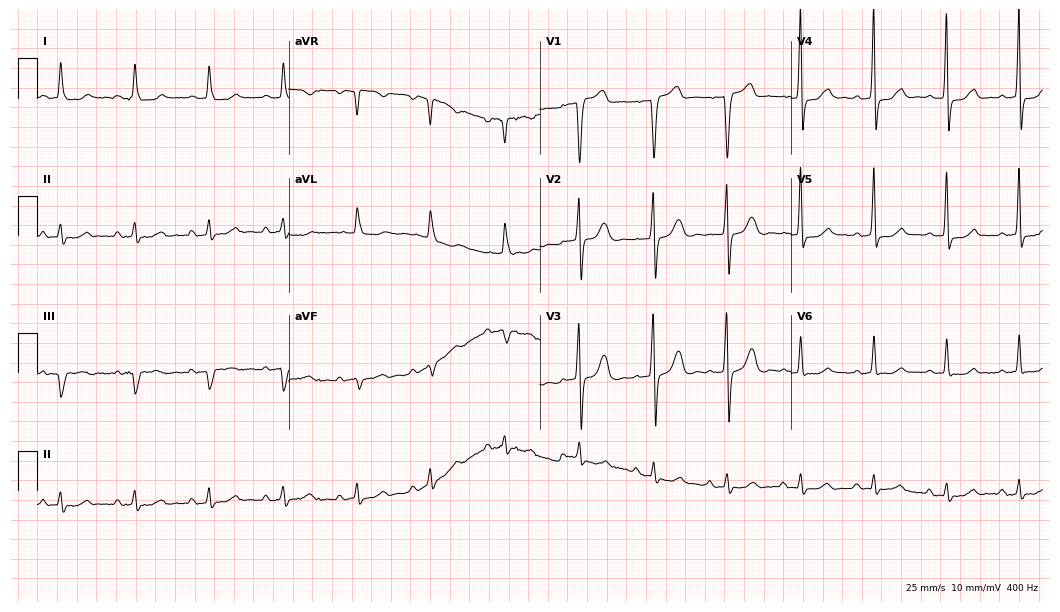
Standard 12-lead ECG recorded from an 86-year-old woman (10.2-second recording at 400 Hz). Read as a normal ECG.